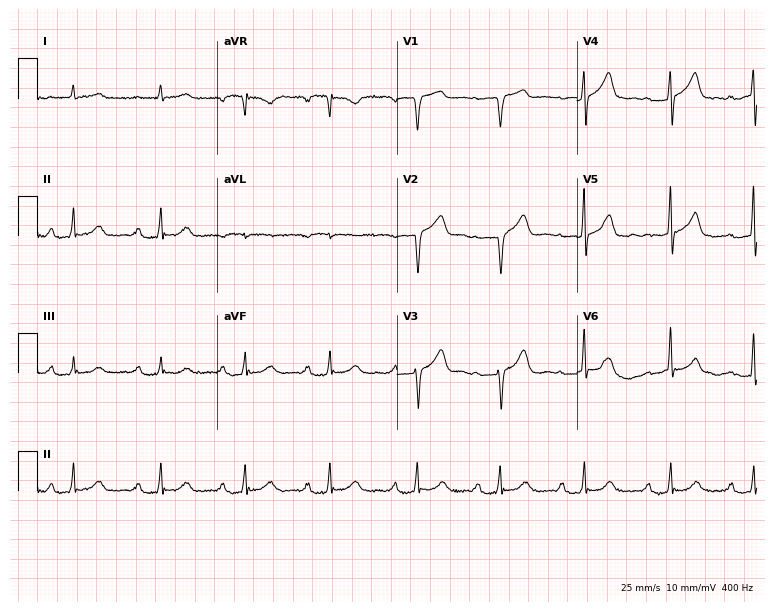
12-lead ECG from a male, 78 years old. Shows first-degree AV block.